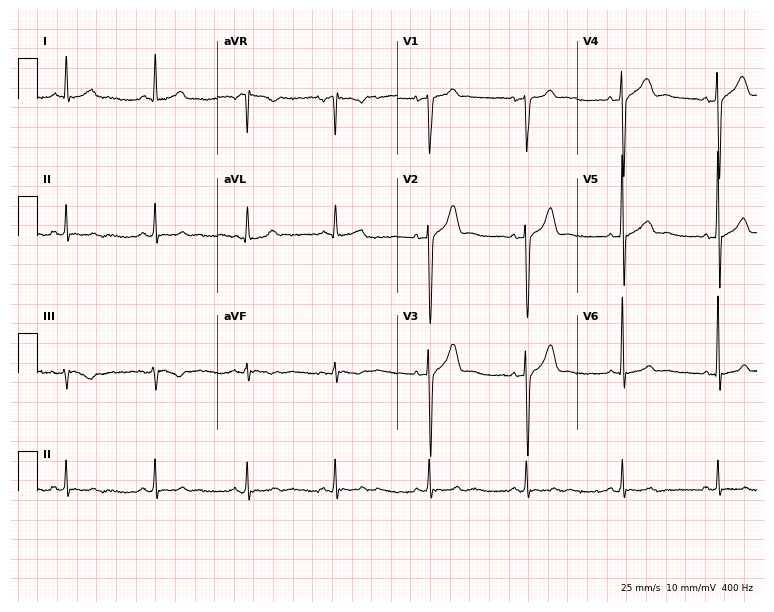
ECG — a male patient, 50 years old. Screened for six findings — first-degree AV block, right bundle branch block (RBBB), left bundle branch block (LBBB), sinus bradycardia, atrial fibrillation (AF), sinus tachycardia — none is recorded. Findings outside these six are not listed.